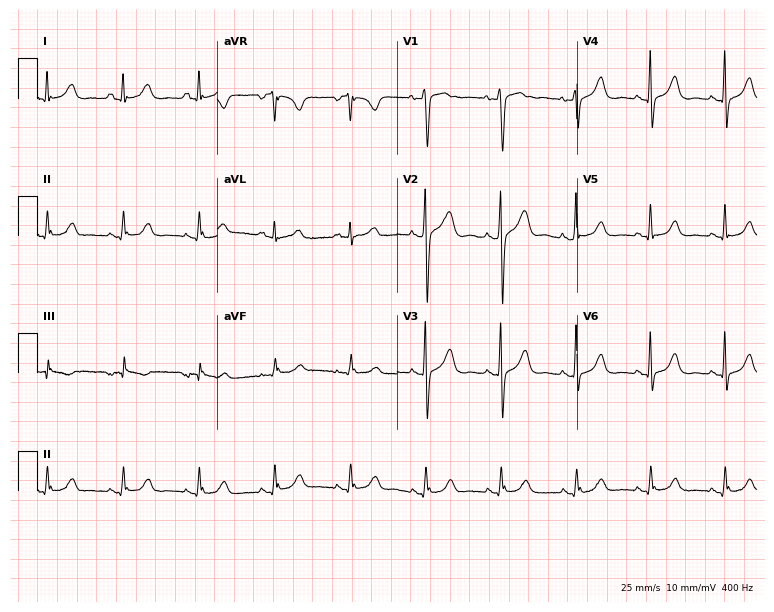
Resting 12-lead electrocardiogram. Patient: a 54-year-old female. Read as a normal ECG.